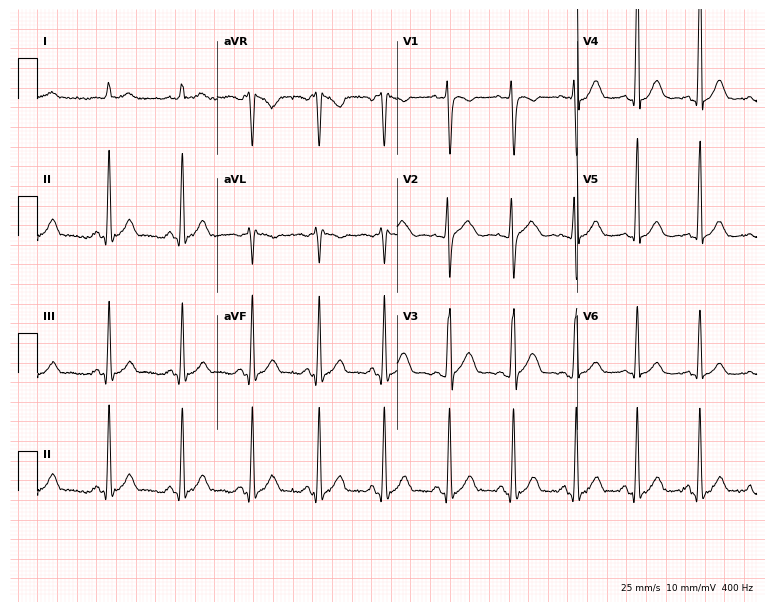
12-lead ECG from a male, 34 years old. Labelled as a normal ECG.